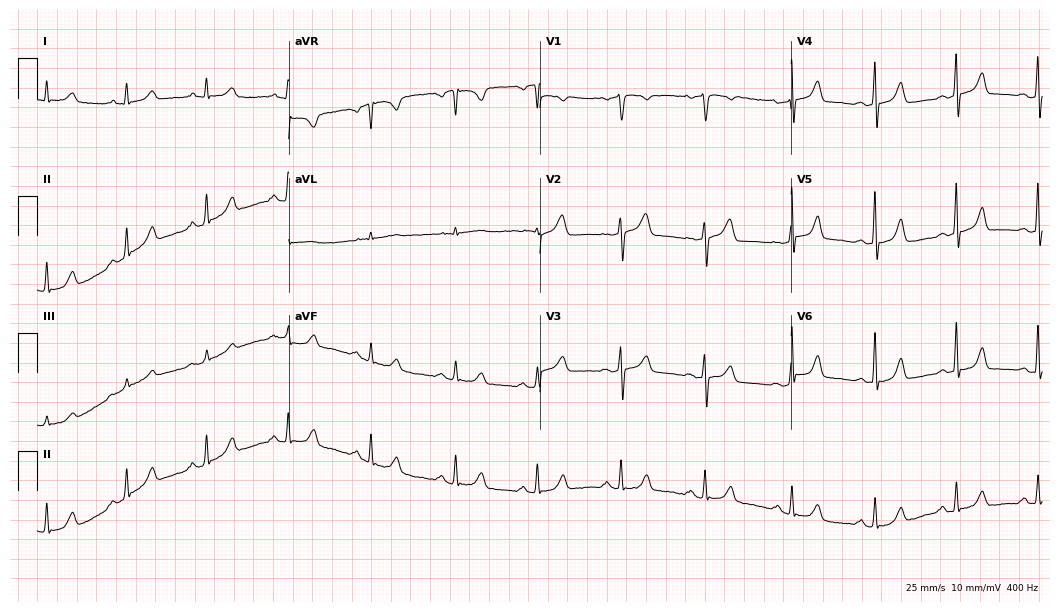
12-lead ECG from a 51-year-old female patient. Recorded interpretation: within normal limits.